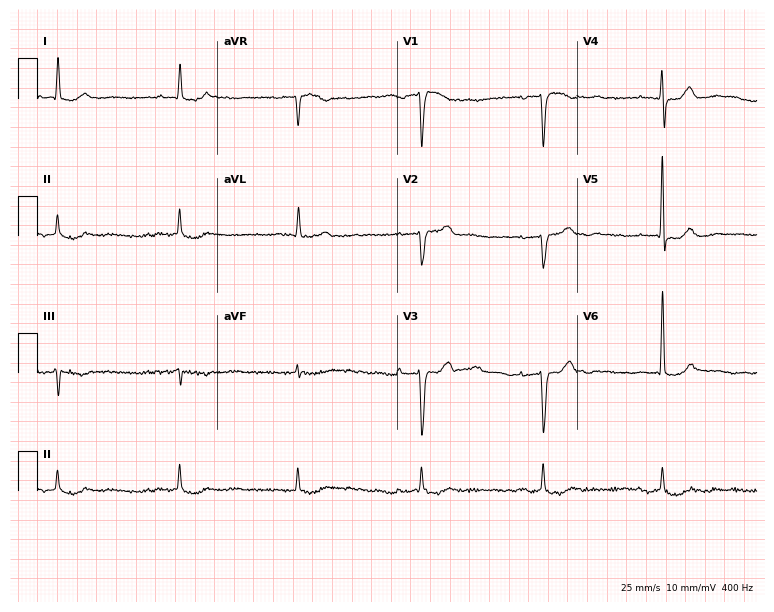
Standard 12-lead ECG recorded from a 79-year-old male. The tracing shows first-degree AV block, sinus bradycardia (a sinus rate of 50 beats per minute or less).